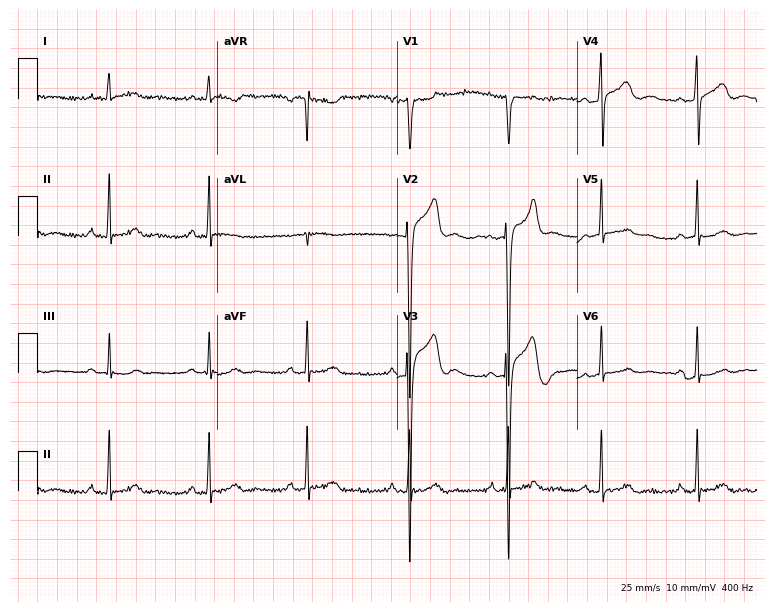
Electrocardiogram, a 47-year-old male patient. Of the six screened findings (first-degree AV block, right bundle branch block, left bundle branch block, sinus bradycardia, atrial fibrillation, sinus tachycardia), none is recorded. Findings outside these six are not listed.